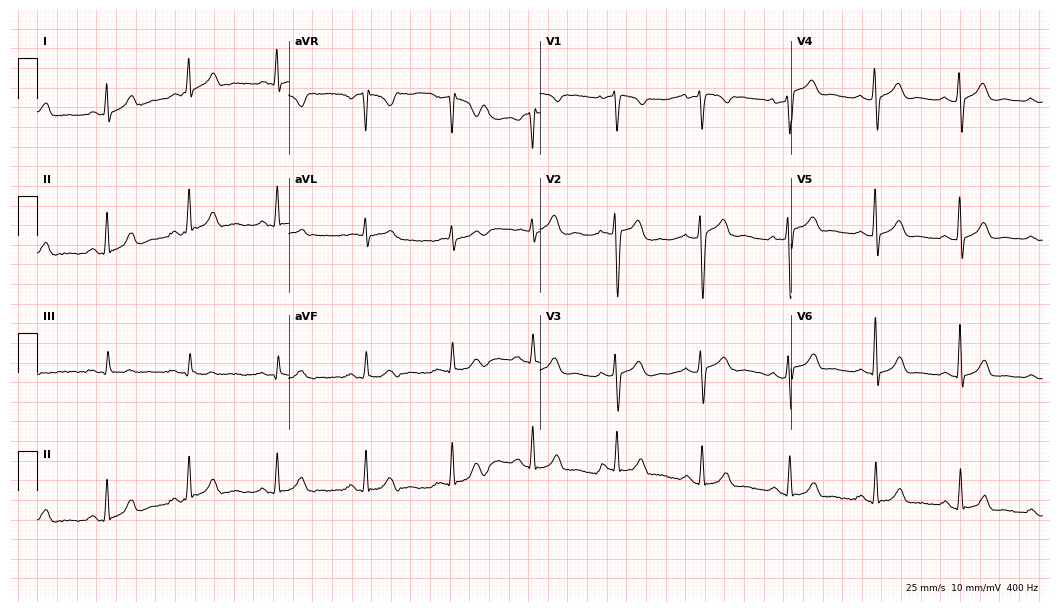
Electrocardiogram, a man, 29 years old. Overall reading on record: normal ECG.